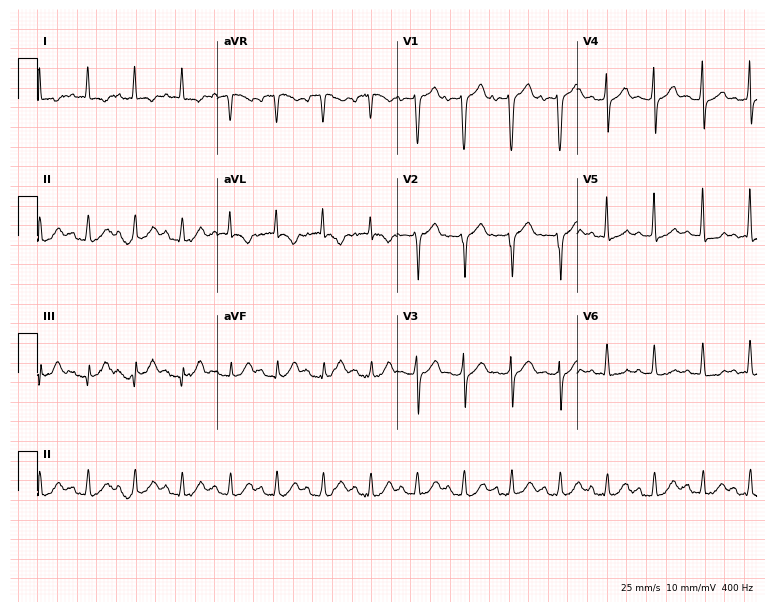
Standard 12-lead ECG recorded from a female patient, 80 years old. The tracing shows sinus tachycardia (a sinus rate of 100 beats per minute or more).